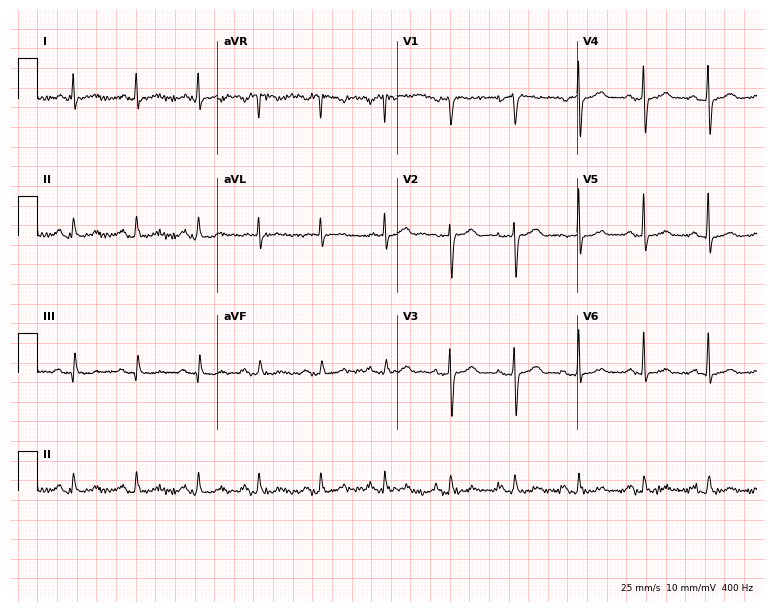
12-lead ECG from a male patient, 67 years old. No first-degree AV block, right bundle branch block, left bundle branch block, sinus bradycardia, atrial fibrillation or sinus tachycardia recorded for this tracing. Other findings, if any, are not listed.